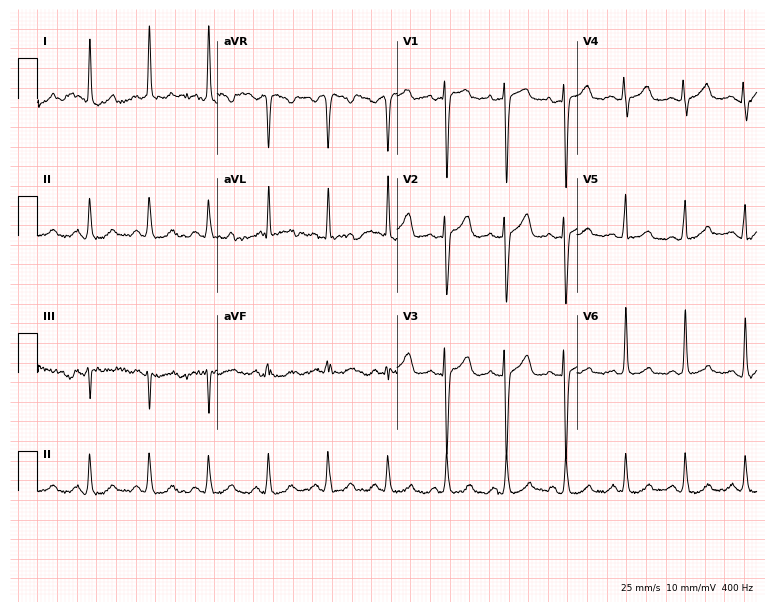
Resting 12-lead electrocardiogram (7.3-second recording at 400 Hz). Patient: a female, 32 years old. None of these six findings is recorded: first-degree AV block, right bundle branch block, left bundle branch block, sinus bradycardia, atrial fibrillation, sinus tachycardia.